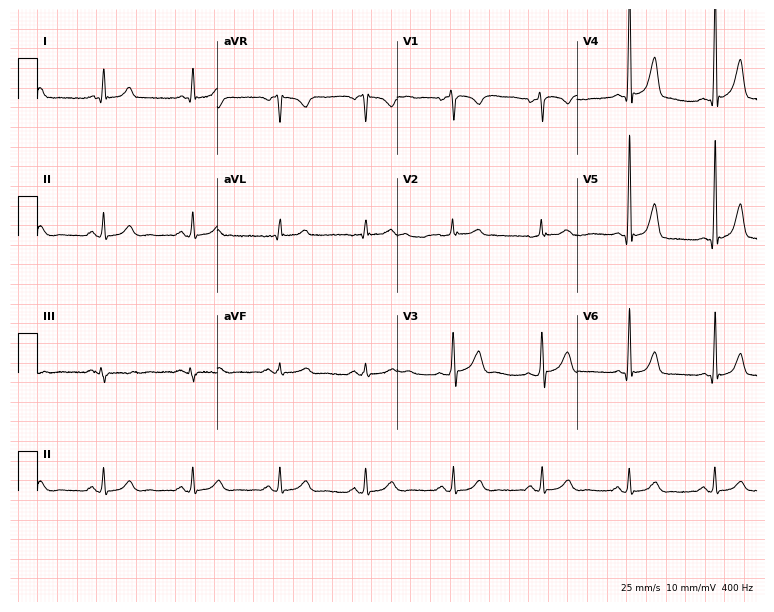
12-lead ECG from a 43-year-old male patient. Screened for six findings — first-degree AV block, right bundle branch block, left bundle branch block, sinus bradycardia, atrial fibrillation, sinus tachycardia — none is recorded. Only these six findings were labelled.